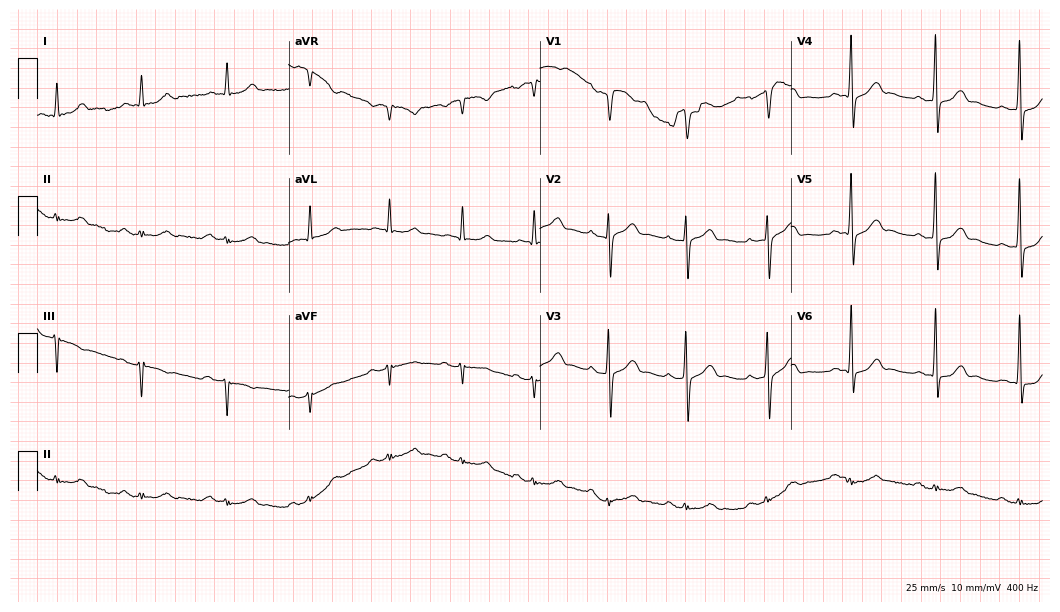
Standard 12-lead ECG recorded from a male patient, 68 years old. Read as a normal ECG.